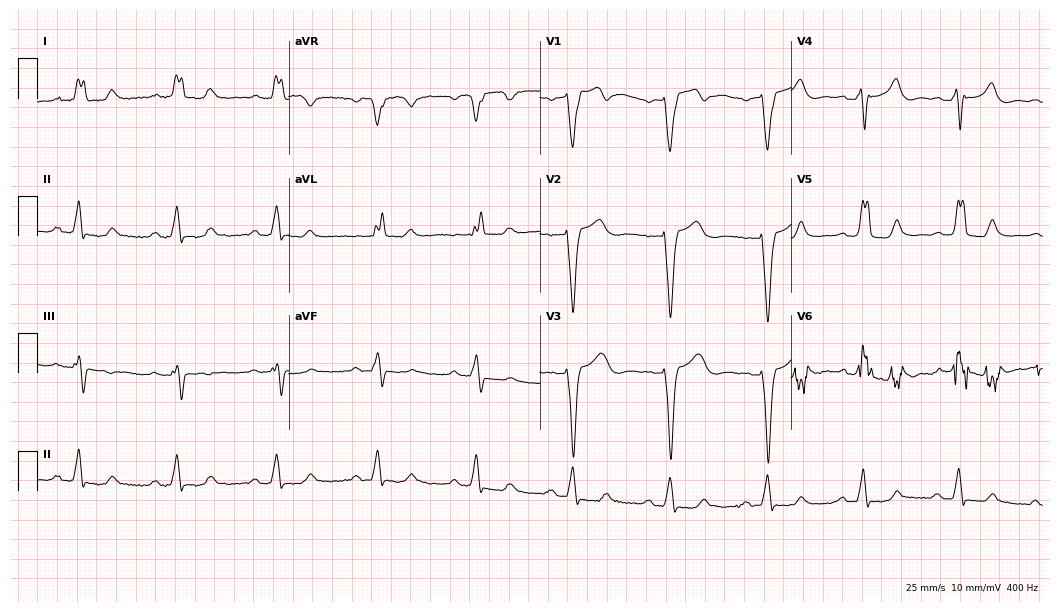
12-lead ECG from a female patient, 68 years old. Screened for six findings — first-degree AV block, right bundle branch block (RBBB), left bundle branch block (LBBB), sinus bradycardia, atrial fibrillation (AF), sinus tachycardia — none is recorded.